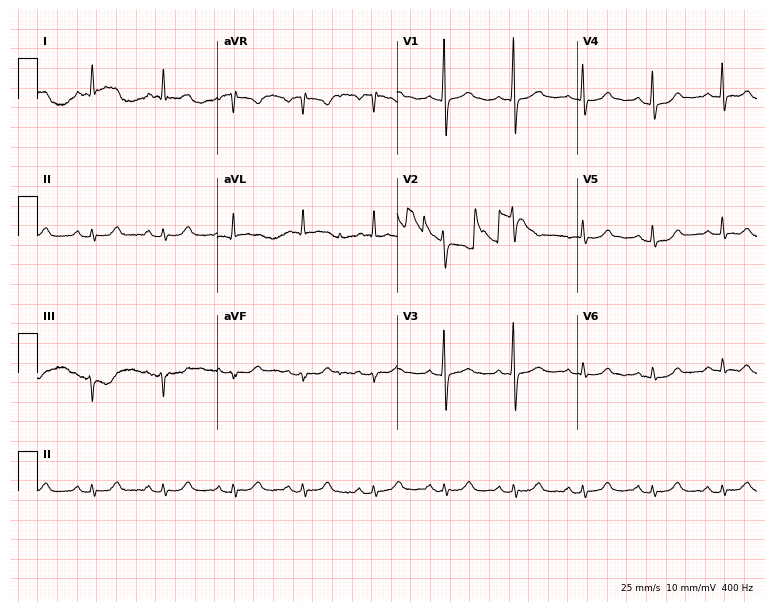
12-lead ECG from a female patient, 54 years old (7.3-second recording at 400 Hz). Recorded interpretation: within normal limits.